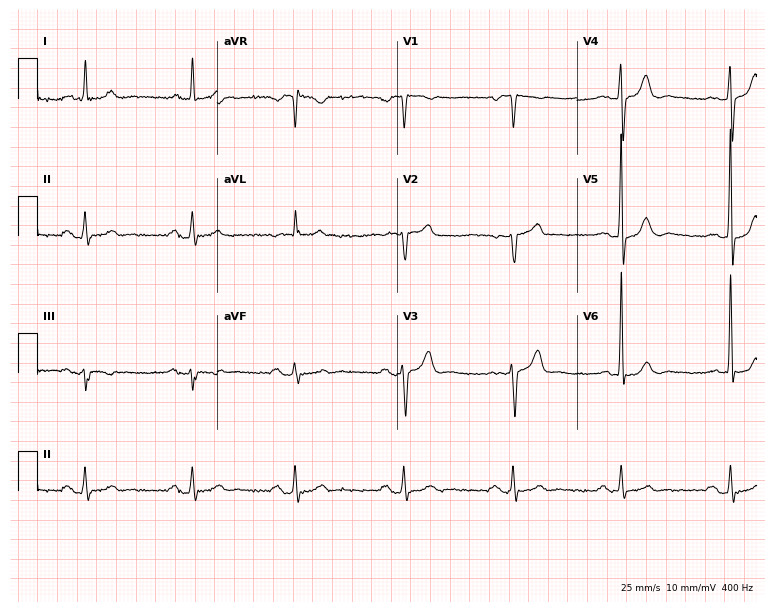
12-lead ECG from a male, 76 years old. Screened for six findings — first-degree AV block, right bundle branch block, left bundle branch block, sinus bradycardia, atrial fibrillation, sinus tachycardia — none is recorded. Other findings, if any, are not listed.